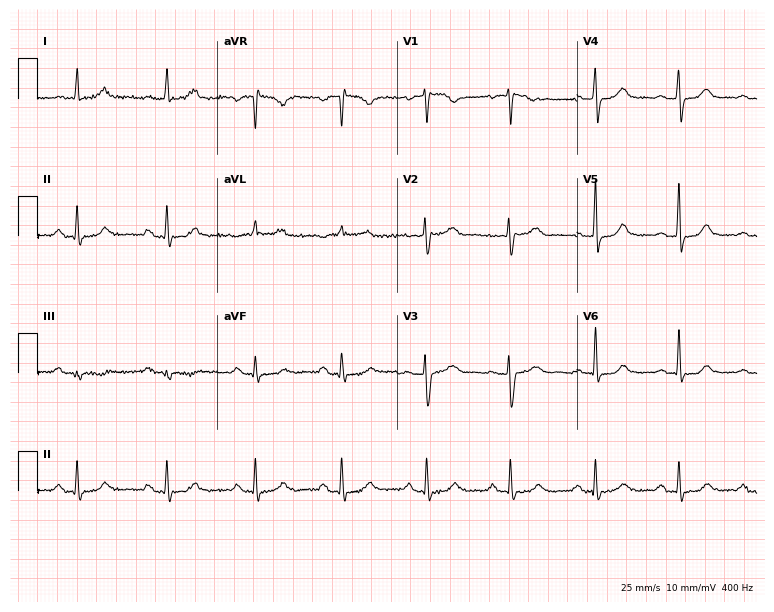
12-lead ECG from a 59-year-old female. No first-degree AV block, right bundle branch block (RBBB), left bundle branch block (LBBB), sinus bradycardia, atrial fibrillation (AF) or sinus tachycardia recorded for this tracing.